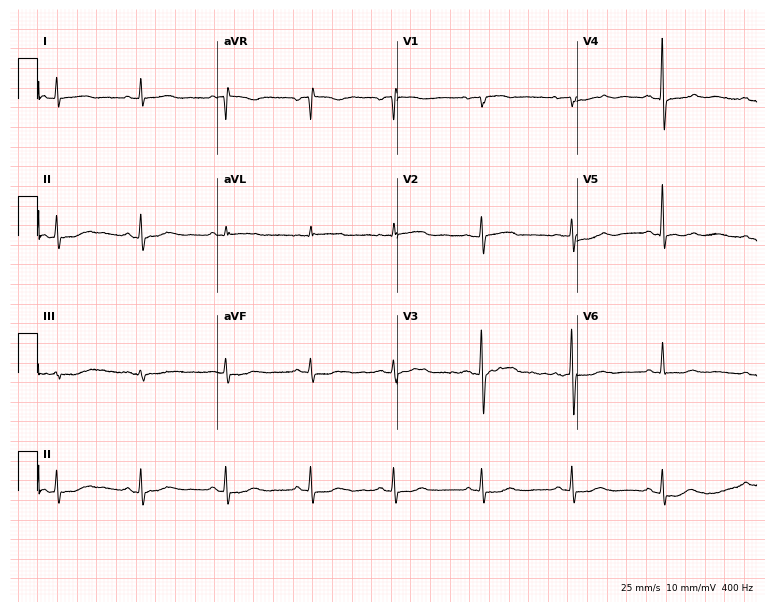
12-lead ECG from a female patient, 74 years old. Screened for six findings — first-degree AV block, right bundle branch block, left bundle branch block, sinus bradycardia, atrial fibrillation, sinus tachycardia — none is recorded. Findings outside these six are not listed.